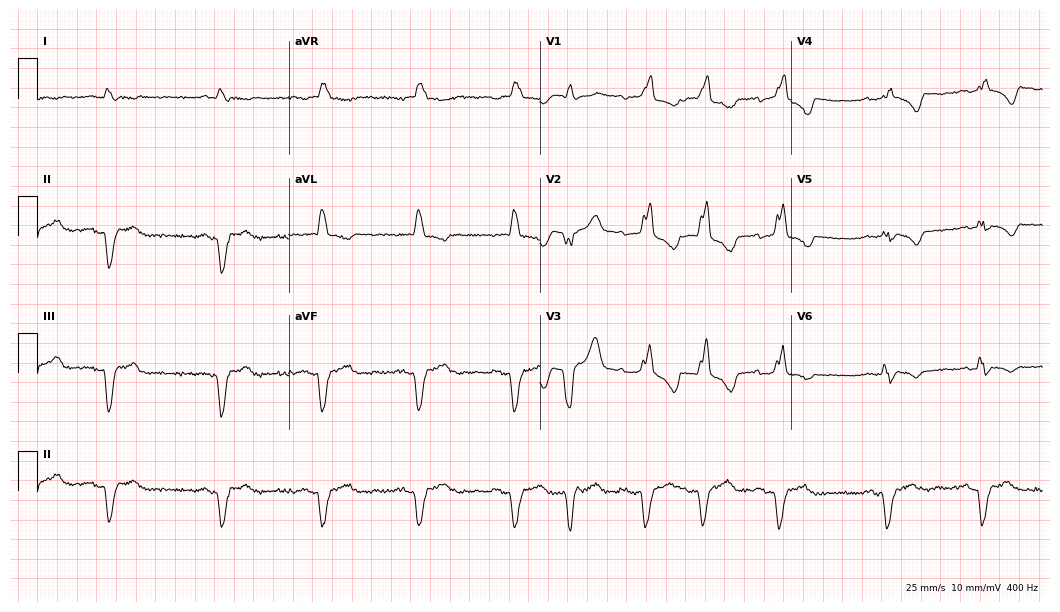
12-lead ECG from a 75-year-old male patient. Shows right bundle branch block.